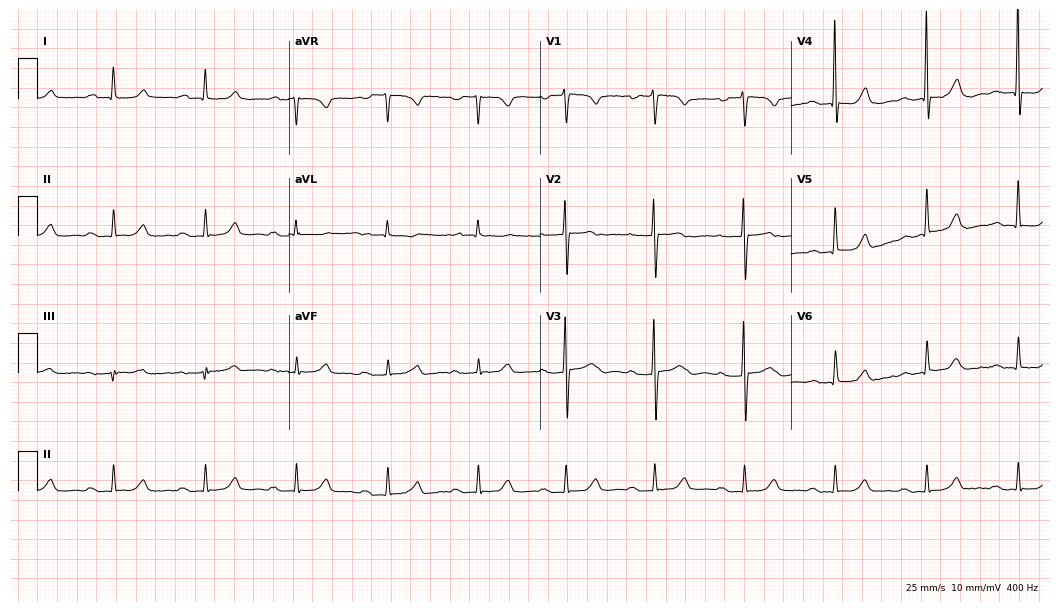
12-lead ECG (10.2-second recording at 400 Hz) from a man, 67 years old. Findings include first-degree AV block.